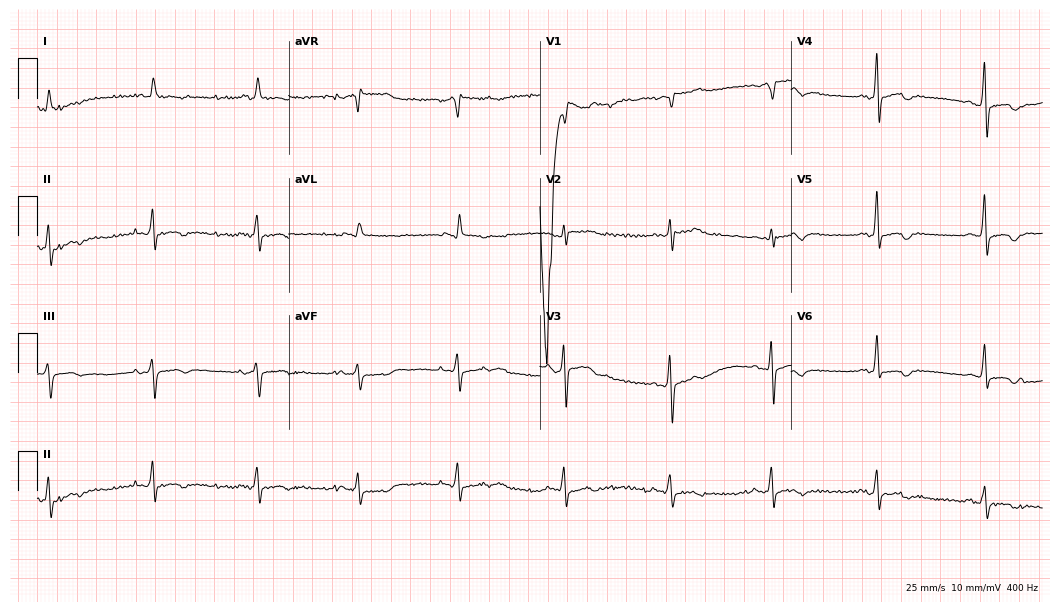
12-lead ECG from a 66-year-old male. Screened for six findings — first-degree AV block, right bundle branch block, left bundle branch block, sinus bradycardia, atrial fibrillation, sinus tachycardia — none is recorded.